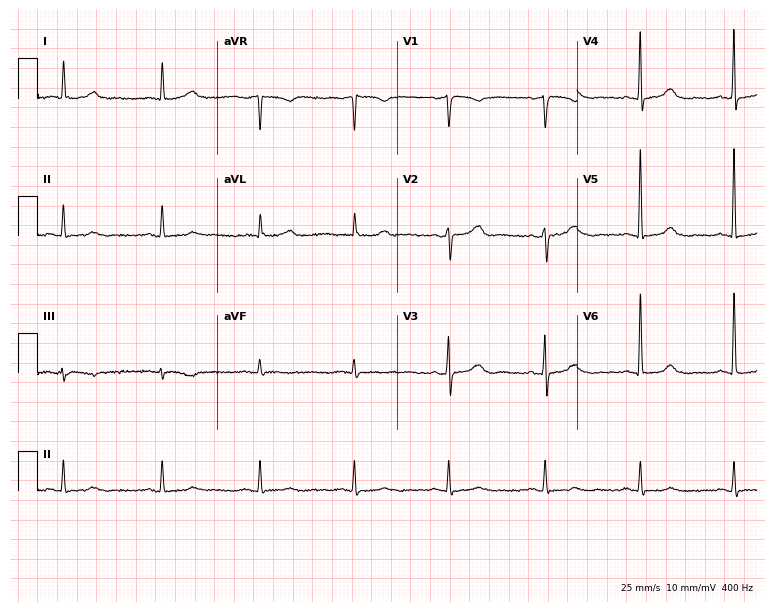
ECG — a 76-year-old woman. Screened for six findings — first-degree AV block, right bundle branch block, left bundle branch block, sinus bradycardia, atrial fibrillation, sinus tachycardia — none is recorded.